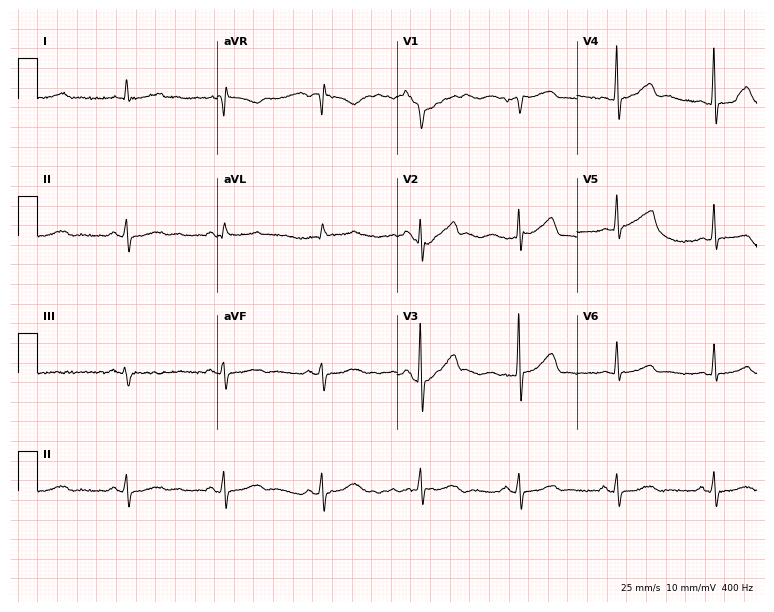
12-lead ECG from a man, 74 years old. Recorded interpretation: within normal limits.